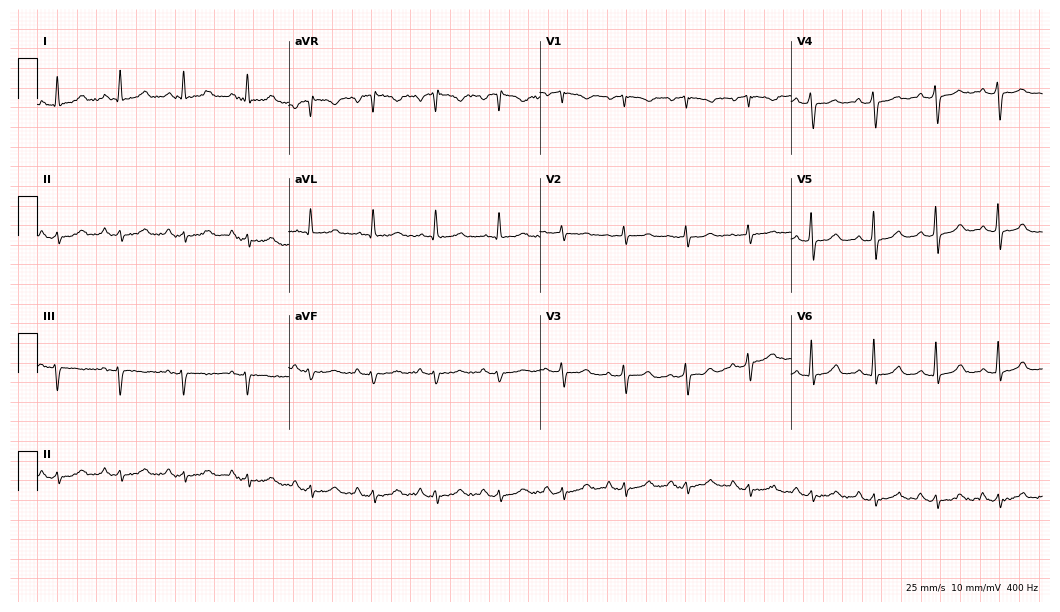
Resting 12-lead electrocardiogram. Patient: a female, 65 years old. Read as a normal ECG.